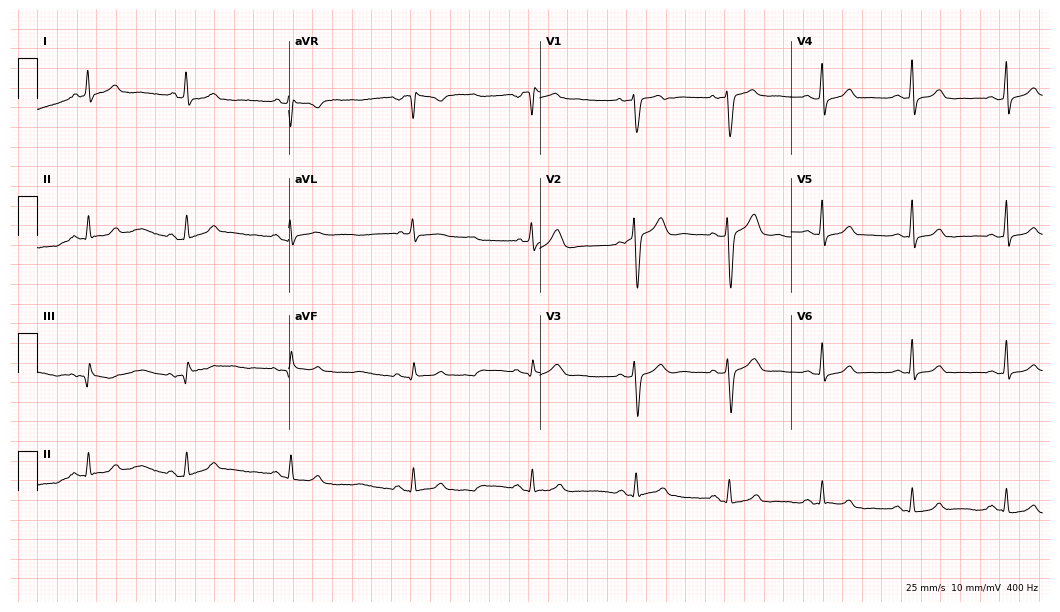
ECG — a 33-year-old female patient. Labelled as a normal ECG.